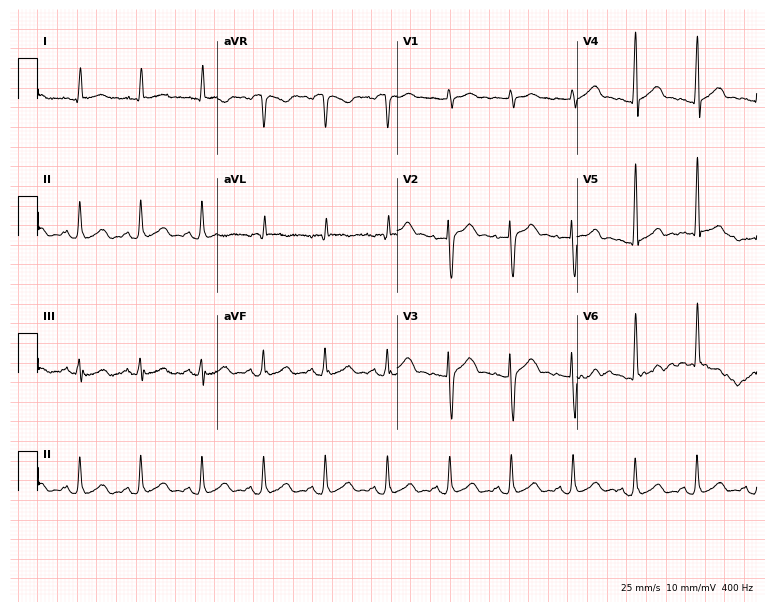
Standard 12-lead ECG recorded from a man, 43 years old. None of these six findings is recorded: first-degree AV block, right bundle branch block (RBBB), left bundle branch block (LBBB), sinus bradycardia, atrial fibrillation (AF), sinus tachycardia. Findings outside these six are not listed.